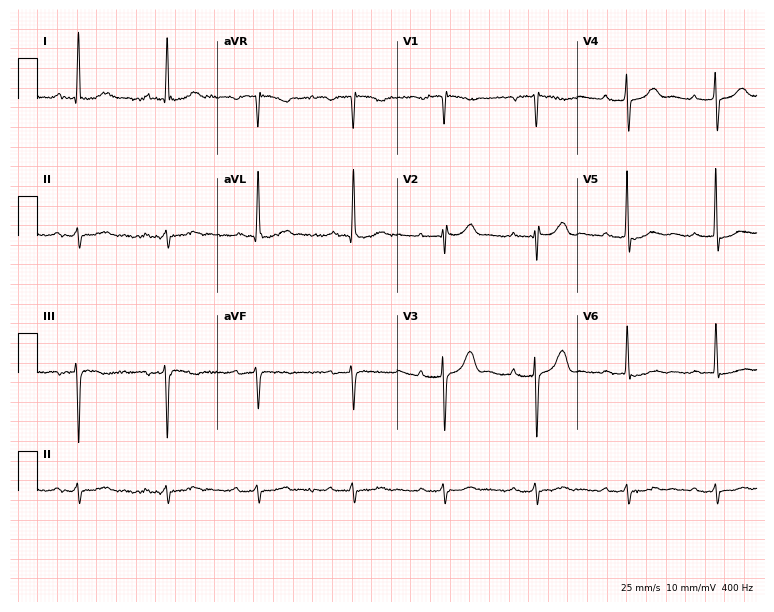
Standard 12-lead ECG recorded from a 79-year-old male. None of these six findings is recorded: first-degree AV block, right bundle branch block, left bundle branch block, sinus bradycardia, atrial fibrillation, sinus tachycardia. Findings outside these six are not listed.